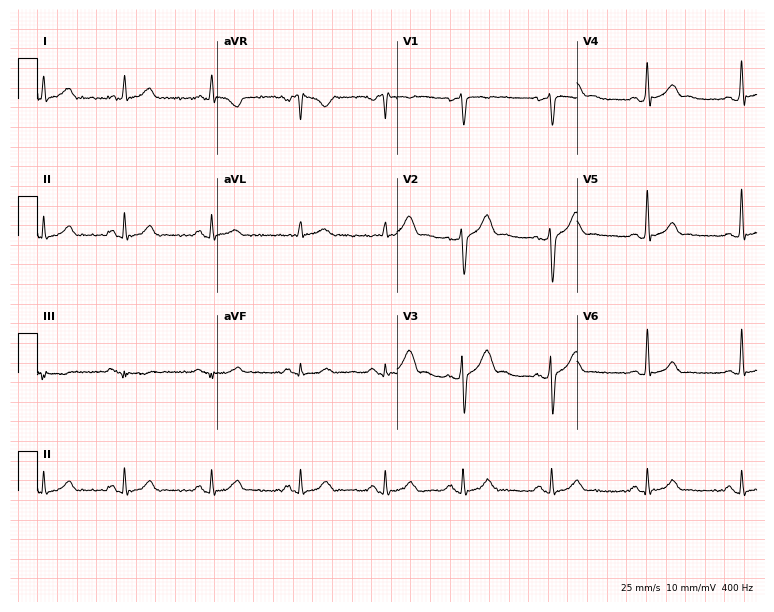
ECG — a man, 34 years old. Screened for six findings — first-degree AV block, right bundle branch block (RBBB), left bundle branch block (LBBB), sinus bradycardia, atrial fibrillation (AF), sinus tachycardia — none is recorded.